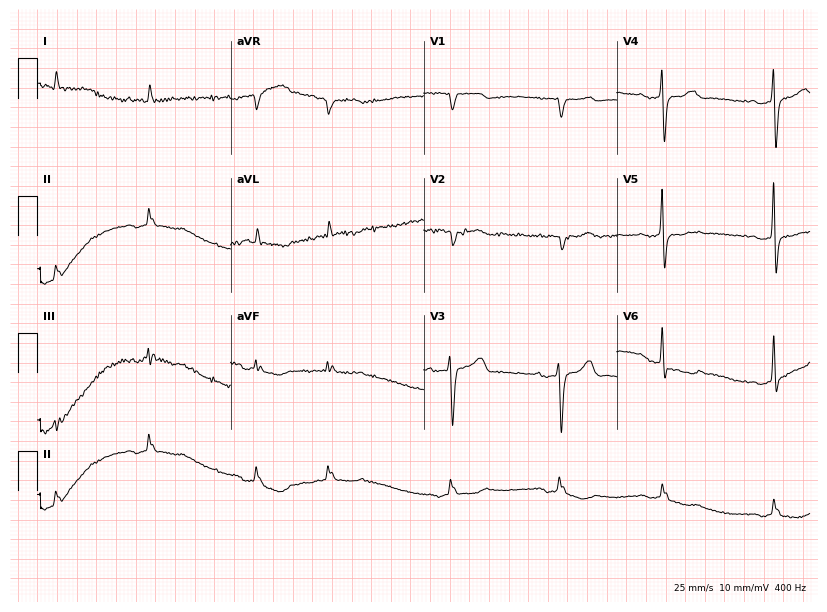
Standard 12-lead ECG recorded from a female, 79 years old. None of these six findings is recorded: first-degree AV block, right bundle branch block (RBBB), left bundle branch block (LBBB), sinus bradycardia, atrial fibrillation (AF), sinus tachycardia.